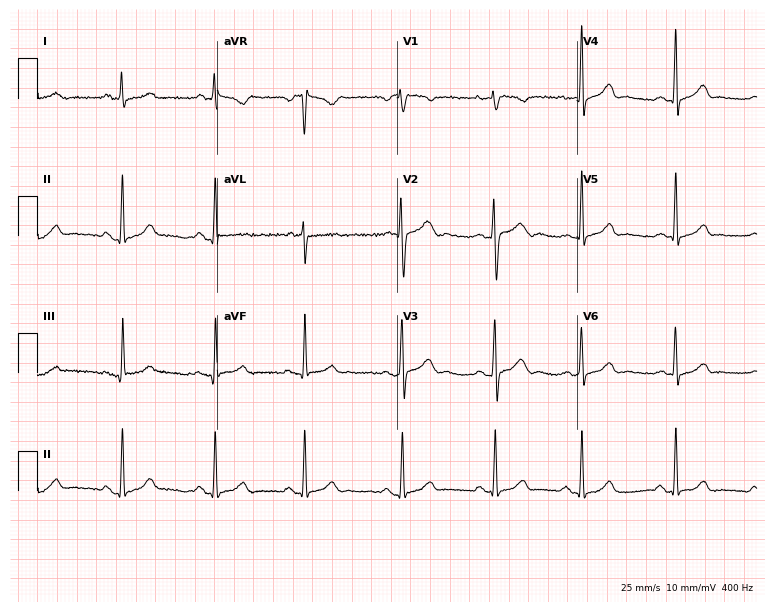
12-lead ECG from a 23-year-old woman. Recorded interpretation: within normal limits.